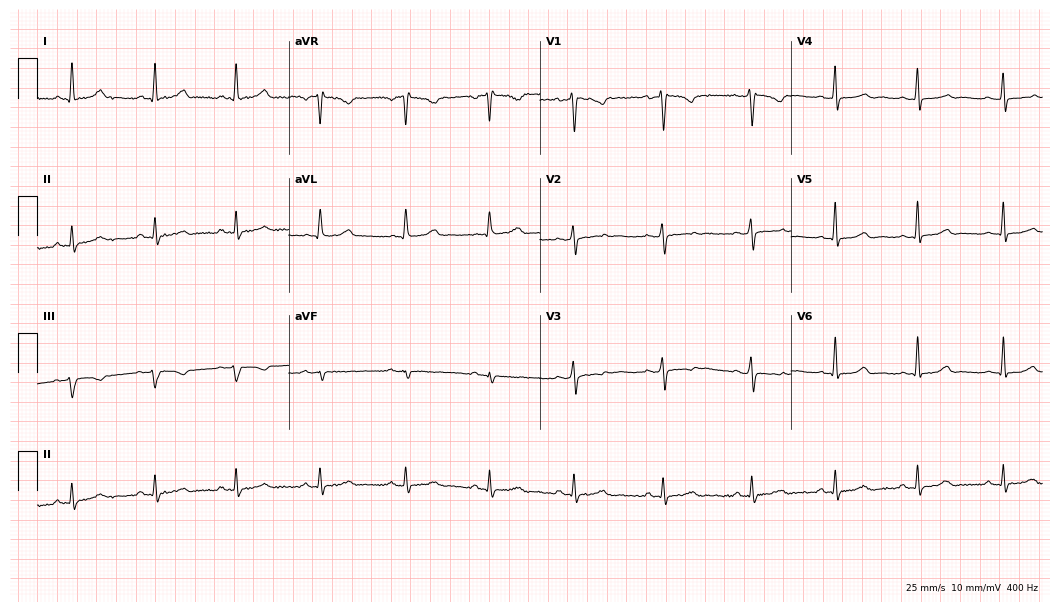
ECG — a female, 30 years old. Labelled as a normal ECG.